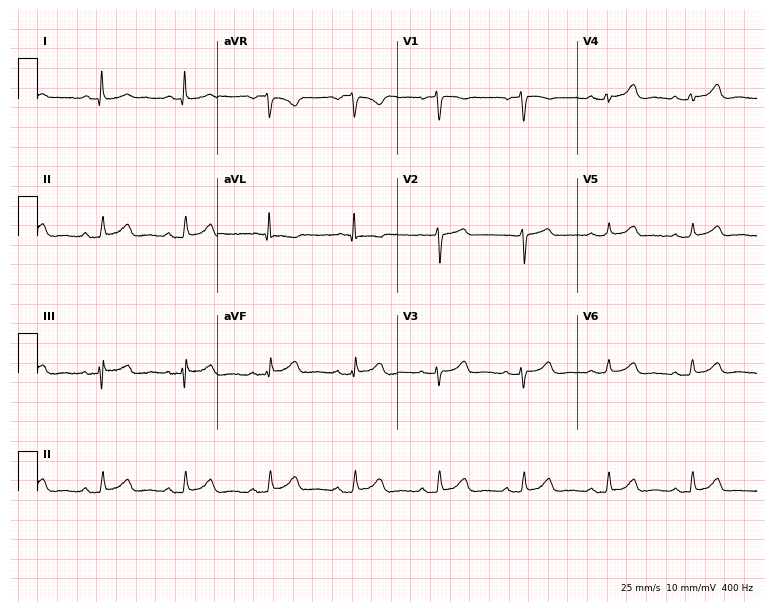
Standard 12-lead ECG recorded from a 68-year-old female patient (7.3-second recording at 400 Hz). None of these six findings is recorded: first-degree AV block, right bundle branch block, left bundle branch block, sinus bradycardia, atrial fibrillation, sinus tachycardia.